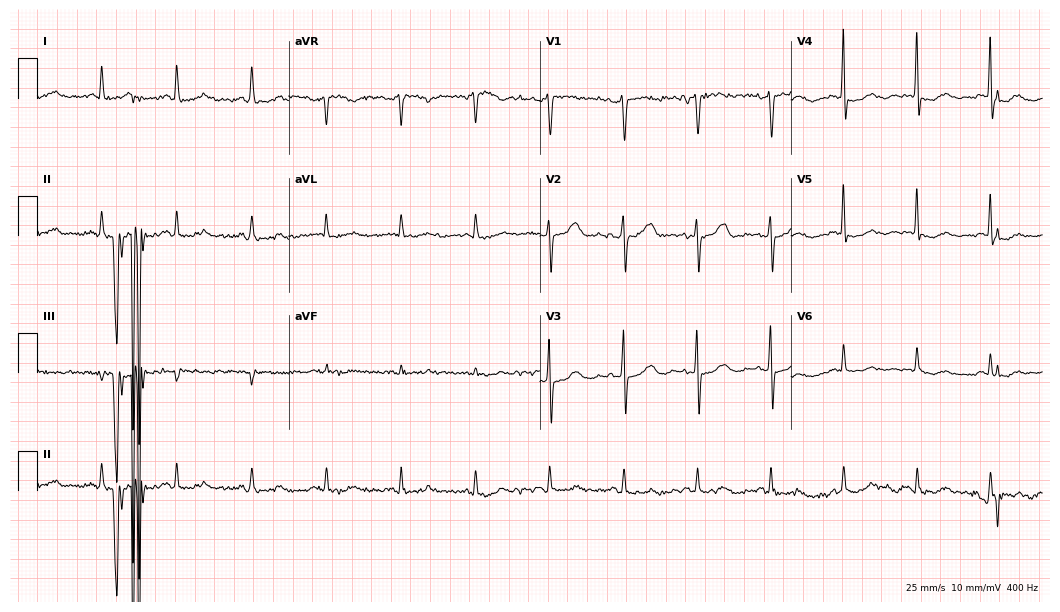
Standard 12-lead ECG recorded from a woman, 69 years old. Read as a normal ECG.